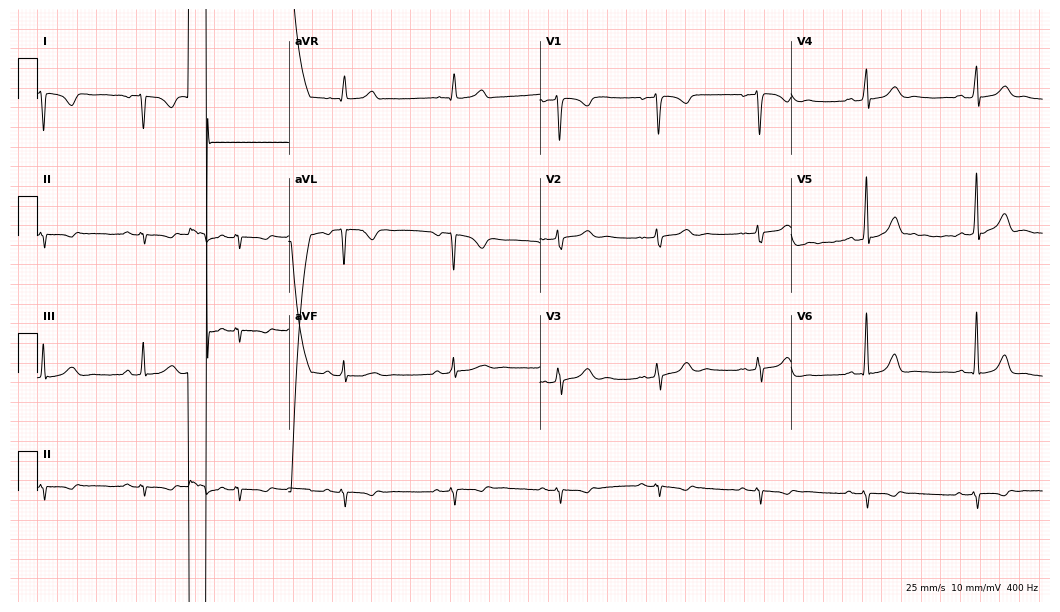
Electrocardiogram (10.2-second recording at 400 Hz), a 34-year-old female. Of the six screened findings (first-degree AV block, right bundle branch block (RBBB), left bundle branch block (LBBB), sinus bradycardia, atrial fibrillation (AF), sinus tachycardia), none is recorded.